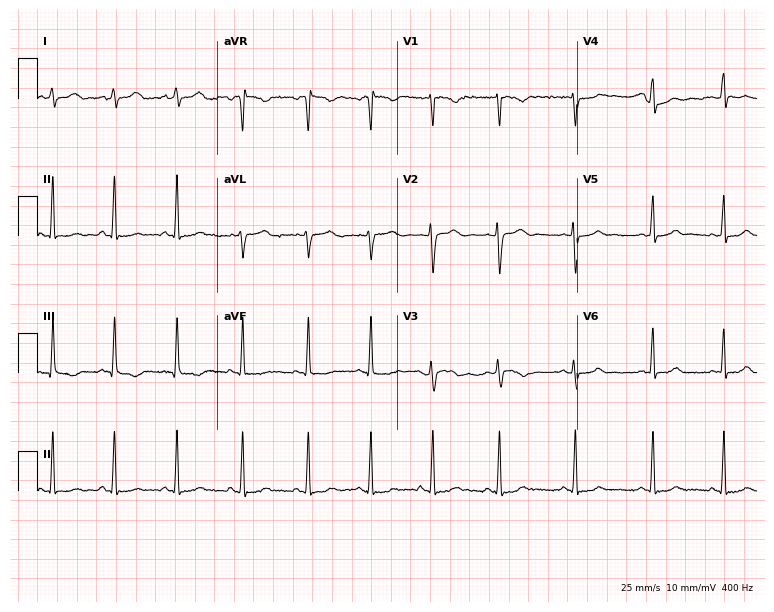
12-lead ECG from a woman, 21 years old. Recorded interpretation: within normal limits.